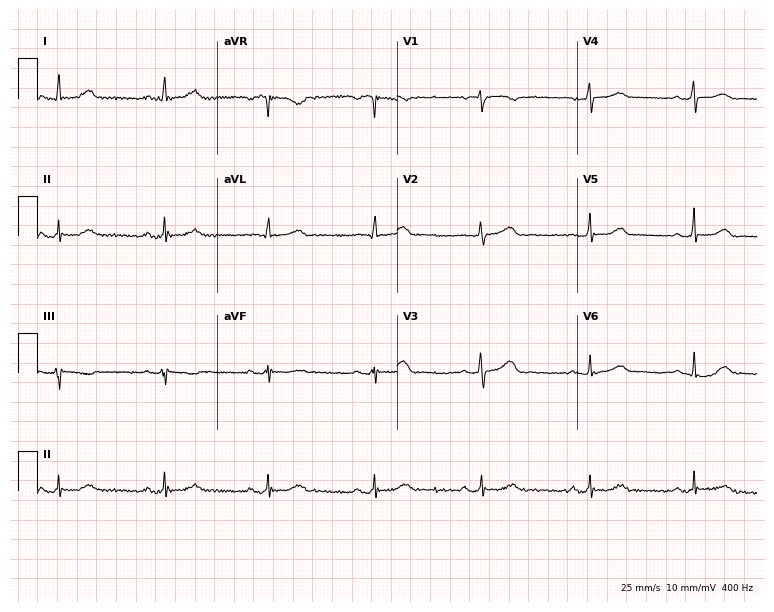
Standard 12-lead ECG recorded from a female, 66 years old (7.3-second recording at 400 Hz). Read as a normal ECG.